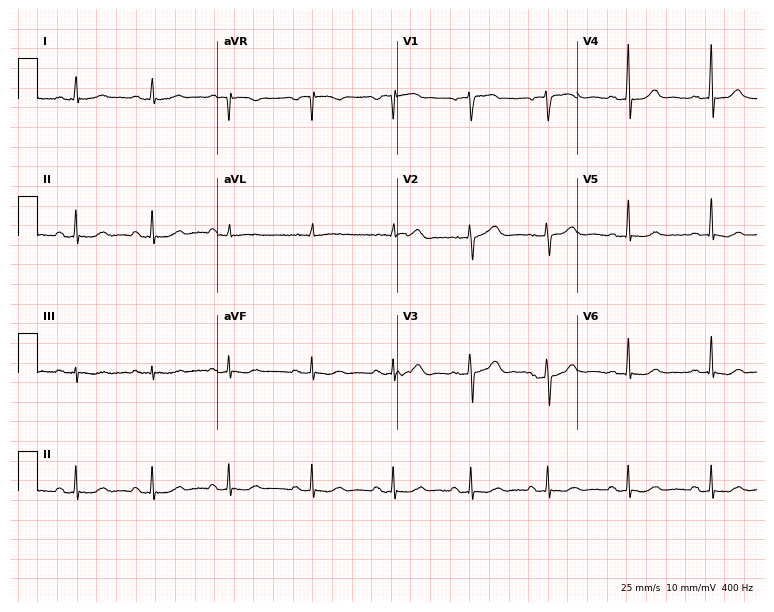
Electrocardiogram, a female patient, 49 years old. Overall reading on record: normal ECG.